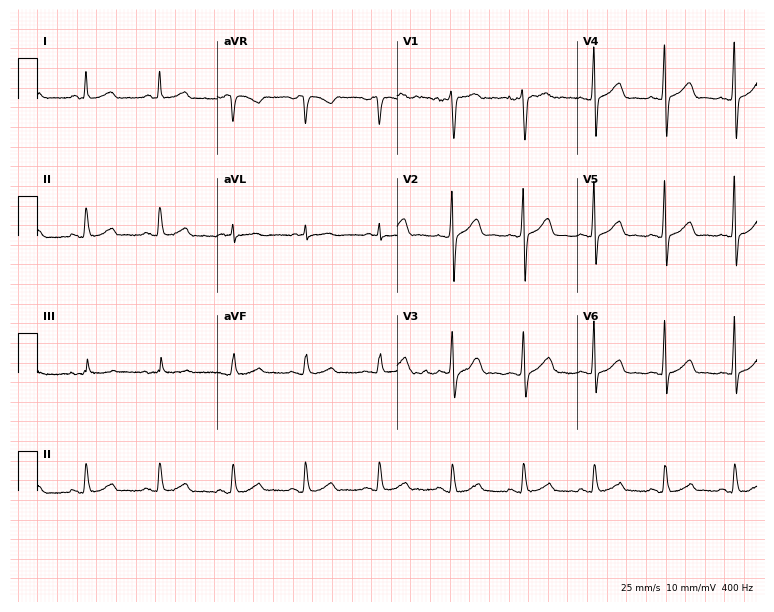
Electrocardiogram, a man, 40 years old. Overall reading on record: normal ECG.